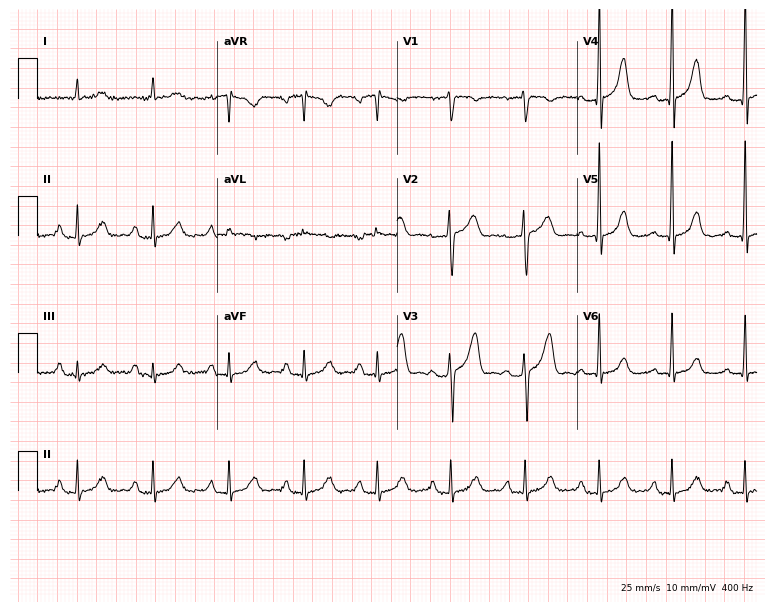
12-lead ECG (7.3-second recording at 400 Hz) from a female patient, 51 years old. Labelled as a normal ECG.